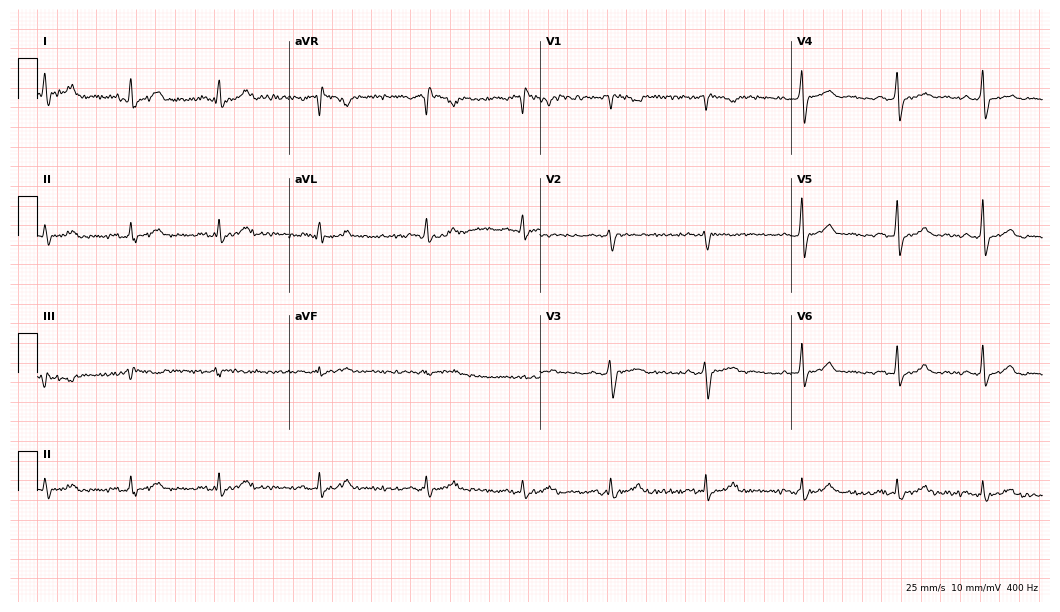
Standard 12-lead ECG recorded from a male, 33 years old (10.2-second recording at 400 Hz). None of these six findings is recorded: first-degree AV block, right bundle branch block, left bundle branch block, sinus bradycardia, atrial fibrillation, sinus tachycardia.